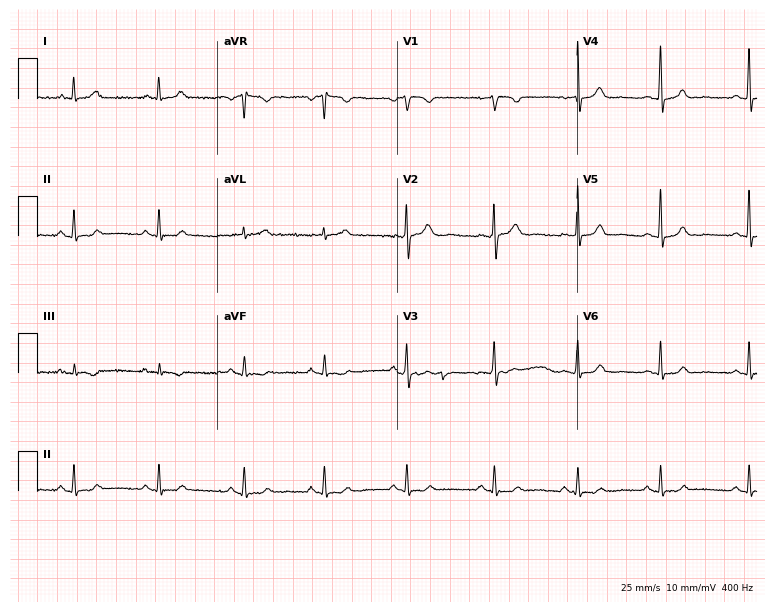
12-lead ECG (7.3-second recording at 400 Hz) from a 32-year-old woman. Labelled as a normal ECG.